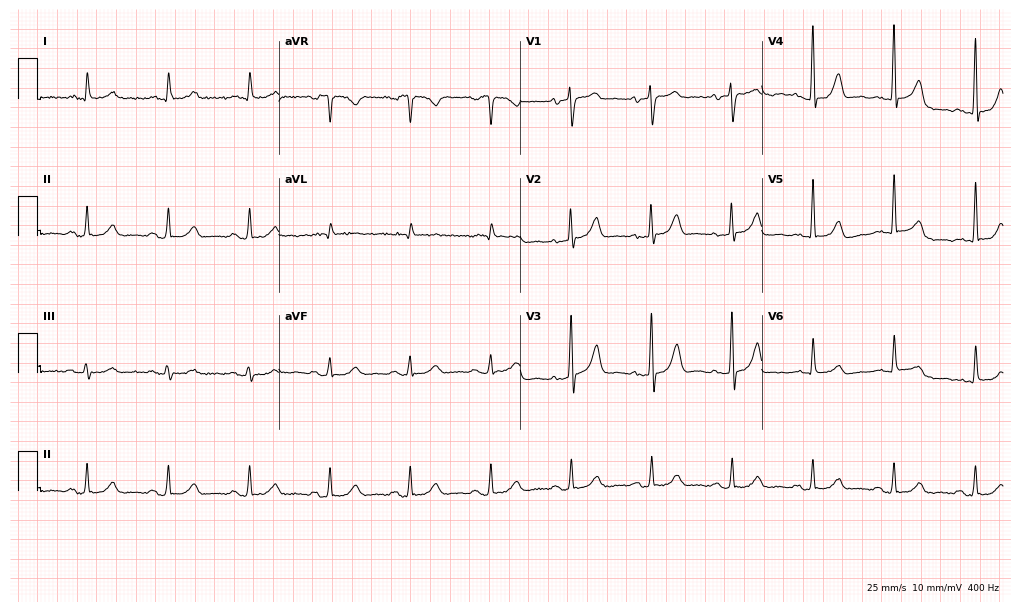
12-lead ECG from a man, 85 years old (9.8-second recording at 400 Hz). Recorded interpretation: within normal limits.